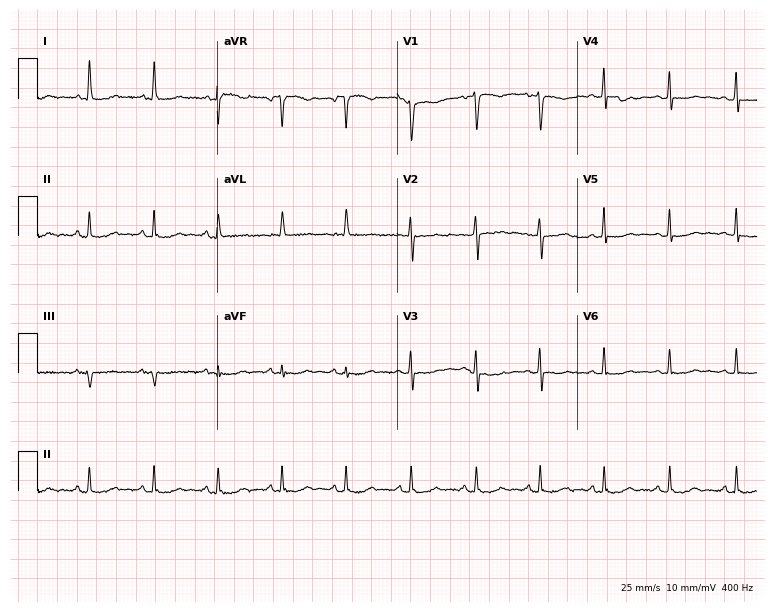
12-lead ECG from a female patient, 52 years old (7.3-second recording at 400 Hz). No first-degree AV block, right bundle branch block, left bundle branch block, sinus bradycardia, atrial fibrillation or sinus tachycardia recorded for this tracing. Findings outside these six are not listed.